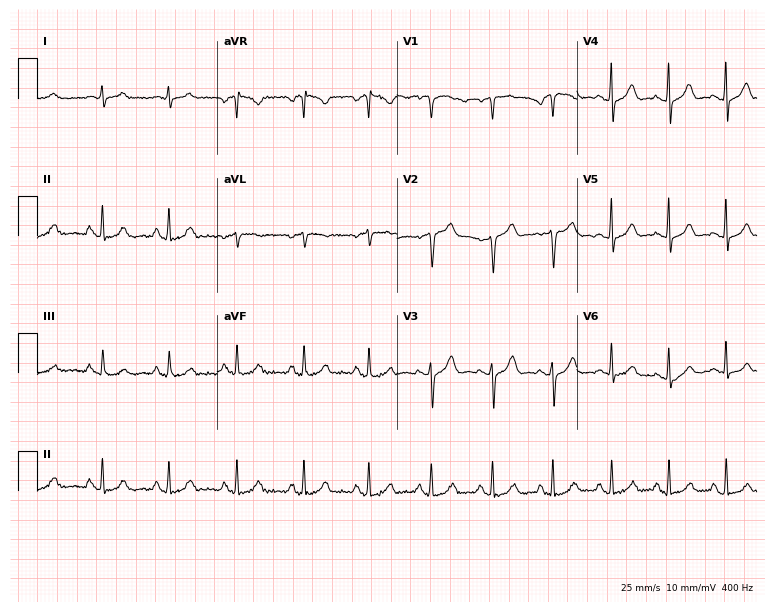
12-lead ECG from a 56-year-old female. Screened for six findings — first-degree AV block, right bundle branch block, left bundle branch block, sinus bradycardia, atrial fibrillation, sinus tachycardia — none is recorded. Other findings, if any, are not listed.